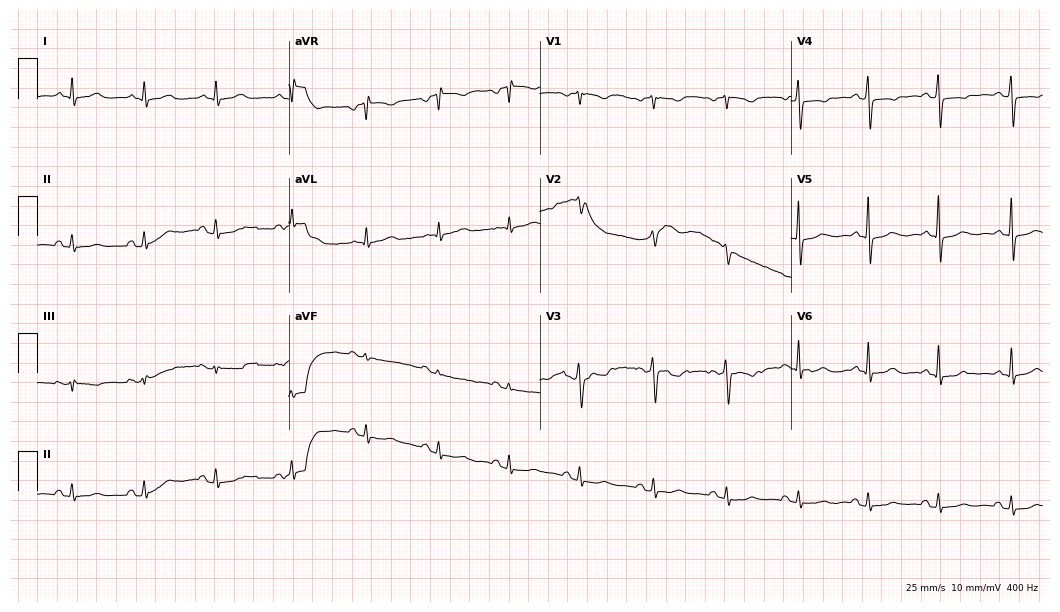
Electrocardiogram (10.2-second recording at 400 Hz), a 51-year-old female. Of the six screened findings (first-degree AV block, right bundle branch block (RBBB), left bundle branch block (LBBB), sinus bradycardia, atrial fibrillation (AF), sinus tachycardia), none is recorded. Only these six findings were labelled.